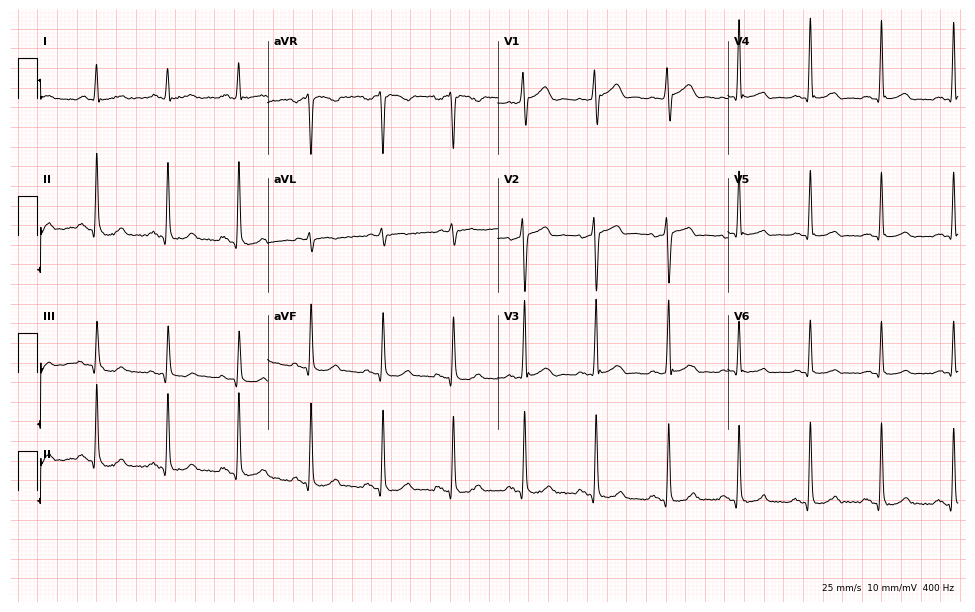
Resting 12-lead electrocardiogram (9.4-second recording at 400 Hz). Patient: a man, 60 years old. Read as a normal ECG.